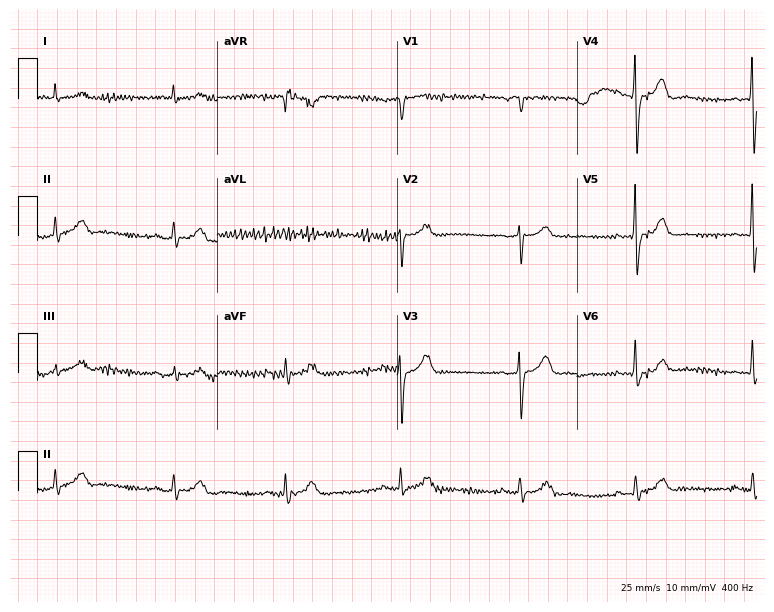
Standard 12-lead ECG recorded from a male patient, 78 years old. Read as a normal ECG.